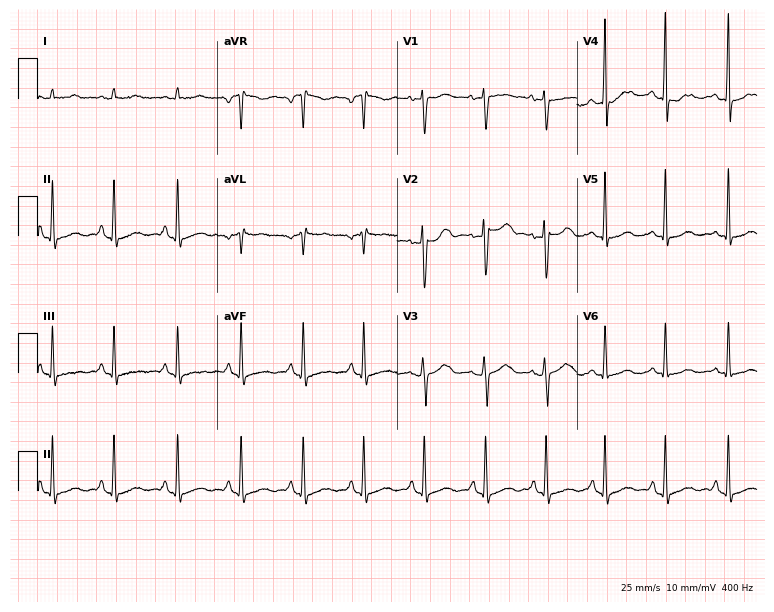
Standard 12-lead ECG recorded from a female patient, 23 years old (7.3-second recording at 400 Hz). None of these six findings is recorded: first-degree AV block, right bundle branch block, left bundle branch block, sinus bradycardia, atrial fibrillation, sinus tachycardia. Findings outside these six are not listed.